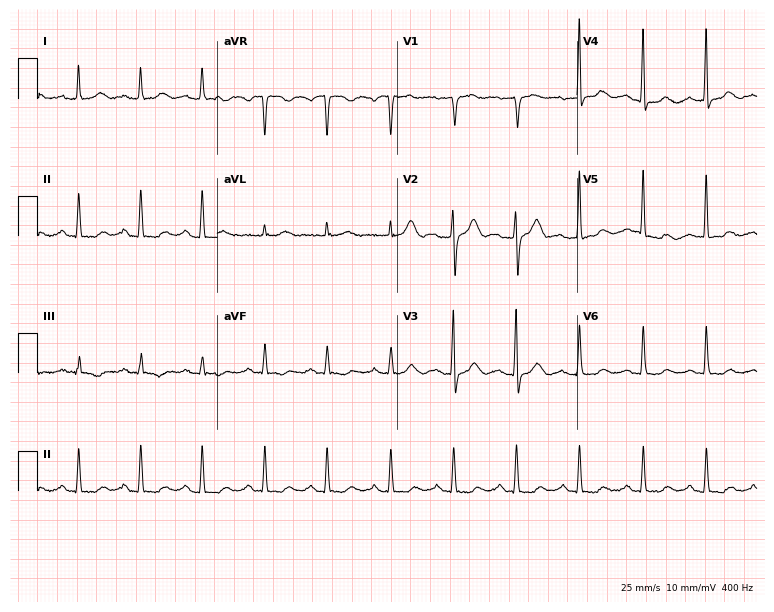
Electrocardiogram, a 66-year-old woman. Interpretation includes first-degree AV block.